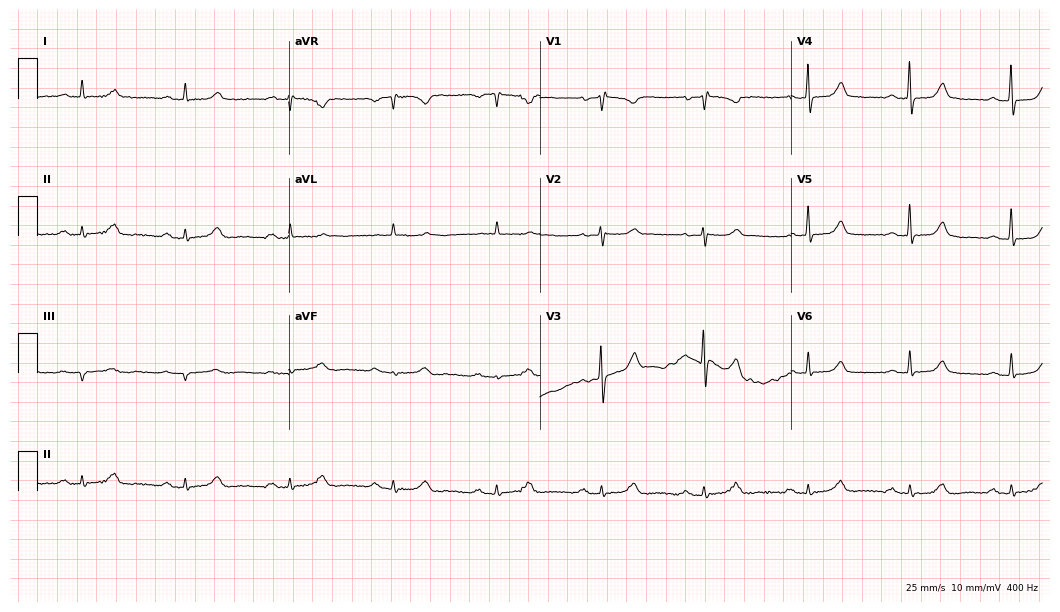
ECG (10.2-second recording at 400 Hz) — an 82-year-old man. Labelled as a normal ECG.